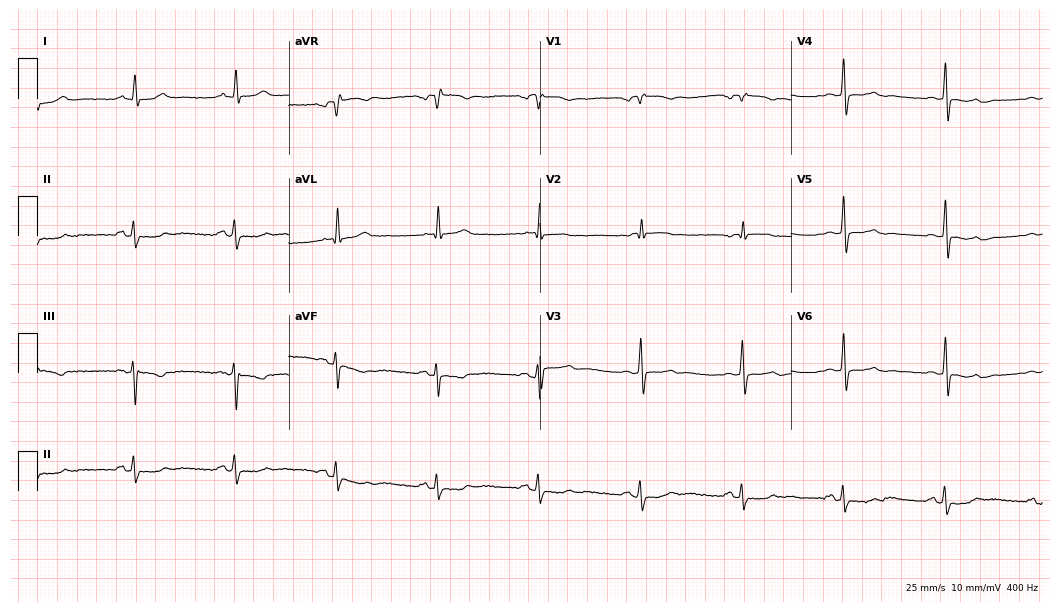
Resting 12-lead electrocardiogram. Patient: a 73-year-old male. None of these six findings is recorded: first-degree AV block, right bundle branch block, left bundle branch block, sinus bradycardia, atrial fibrillation, sinus tachycardia. Findings outside these six are not listed.